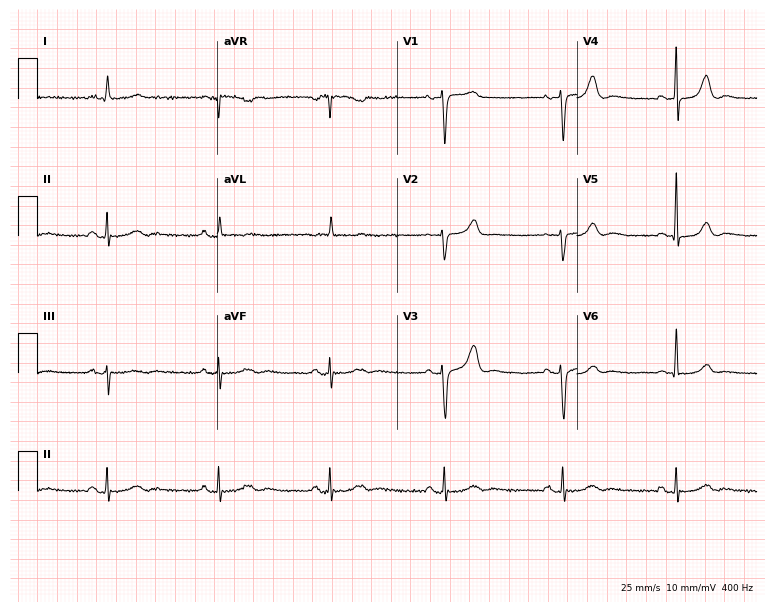
ECG — a female patient, 79 years old. Labelled as a normal ECG.